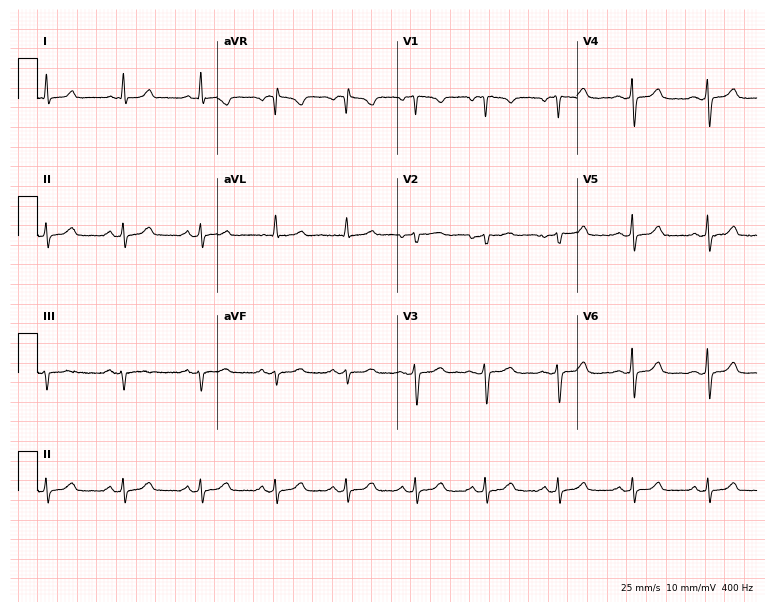
ECG (7.3-second recording at 400 Hz) — a female, 50 years old. Screened for six findings — first-degree AV block, right bundle branch block (RBBB), left bundle branch block (LBBB), sinus bradycardia, atrial fibrillation (AF), sinus tachycardia — none is recorded. Only these six findings were labelled.